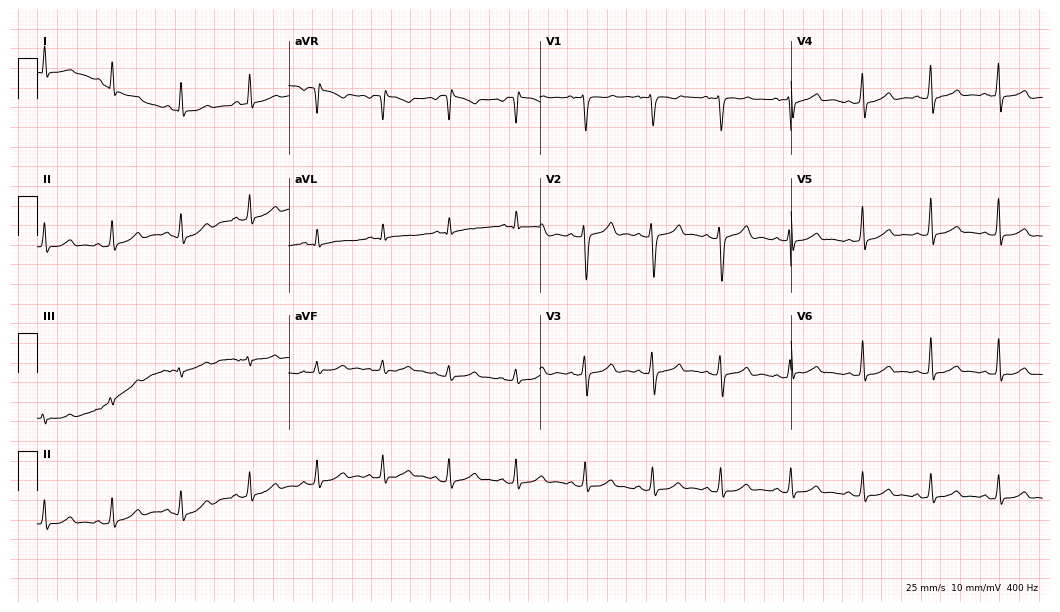
Standard 12-lead ECG recorded from a 21-year-old woman. Read as a normal ECG.